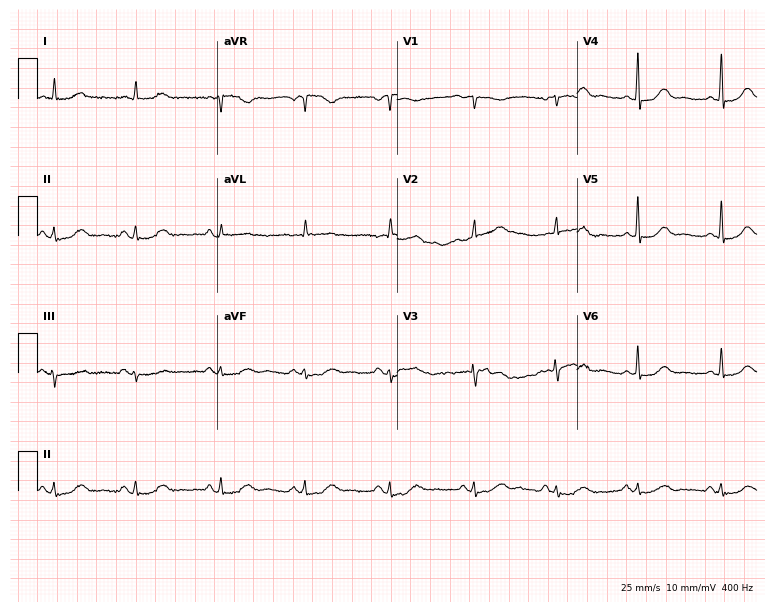
12-lead ECG from a 79-year-old woman. Recorded interpretation: within normal limits.